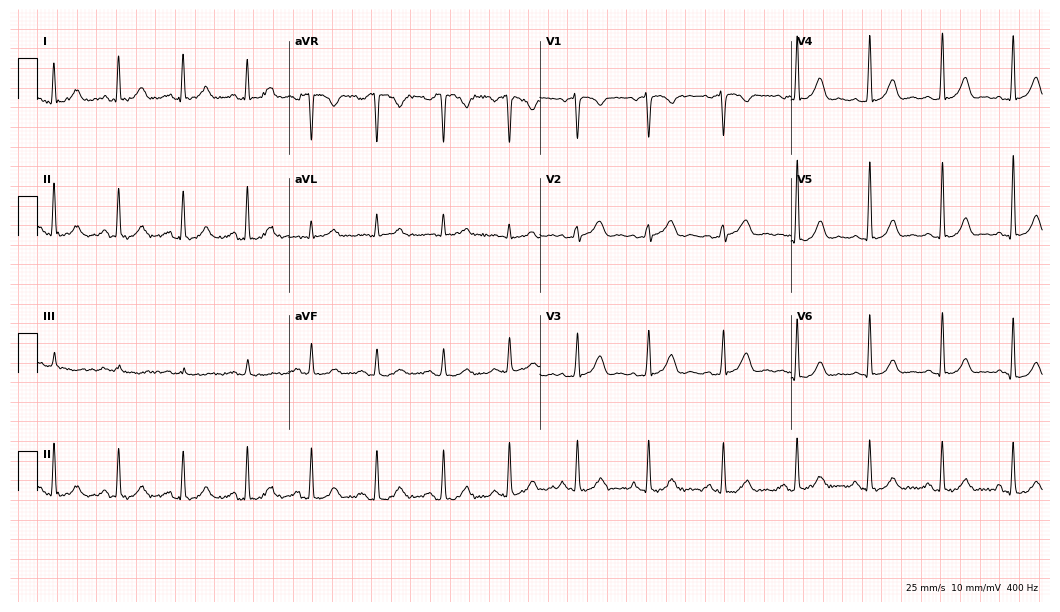
12-lead ECG (10.2-second recording at 400 Hz) from a female, 48 years old. Labelled as a normal ECG.